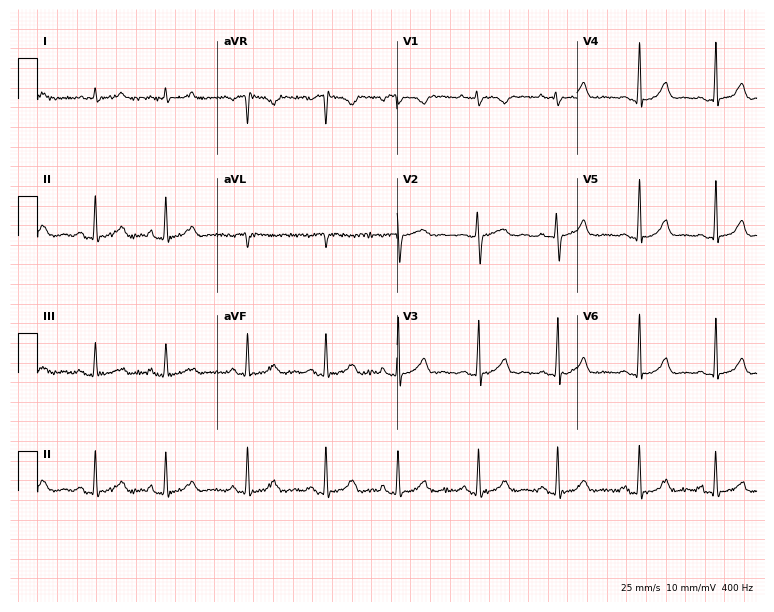
12-lead ECG from a 28-year-old female. Recorded interpretation: within normal limits.